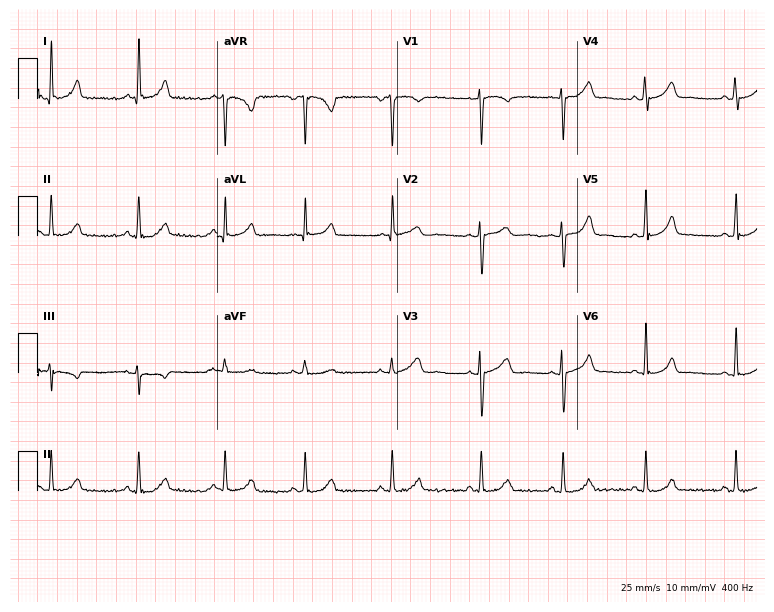
12-lead ECG from a 30-year-old female patient. Screened for six findings — first-degree AV block, right bundle branch block (RBBB), left bundle branch block (LBBB), sinus bradycardia, atrial fibrillation (AF), sinus tachycardia — none is recorded. Other findings, if any, are not listed.